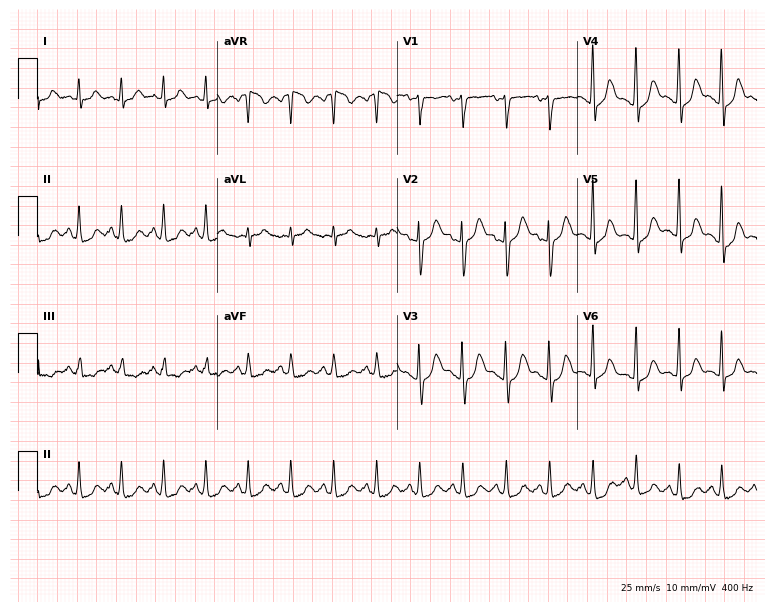
Standard 12-lead ECG recorded from a woman, 35 years old (7.3-second recording at 400 Hz). The tracing shows sinus tachycardia (a sinus rate of 100 beats per minute or more).